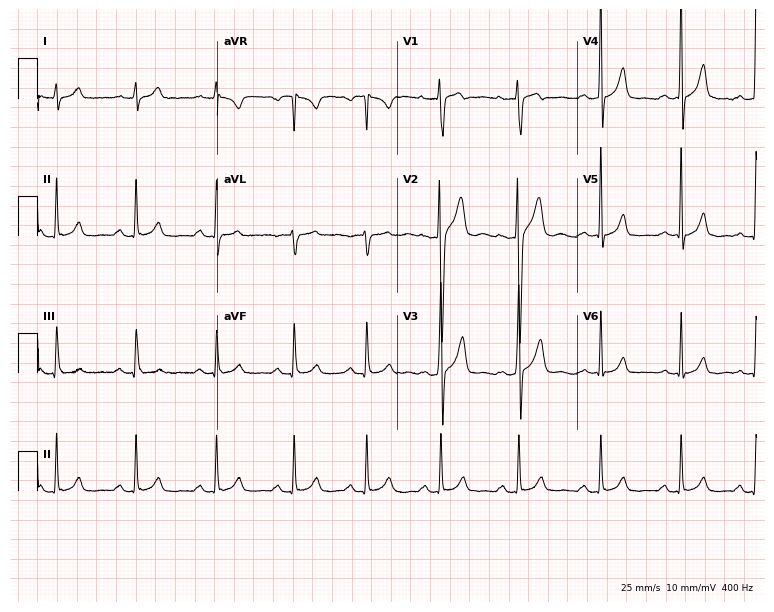
12-lead ECG (7.3-second recording at 400 Hz) from a 26-year-old male patient. Screened for six findings — first-degree AV block, right bundle branch block (RBBB), left bundle branch block (LBBB), sinus bradycardia, atrial fibrillation (AF), sinus tachycardia — none is recorded.